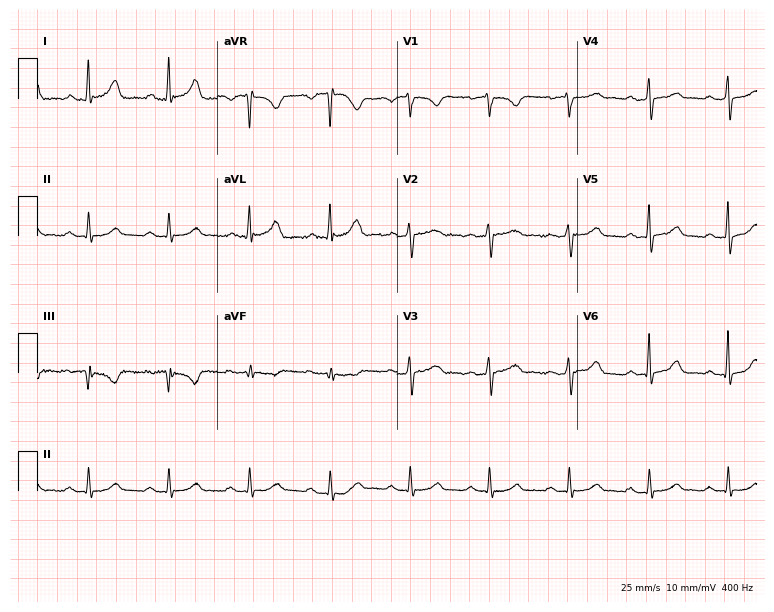
12-lead ECG (7.3-second recording at 400 Hz) from a woman, 57 years old. Screened for six findings — first-degree AV block, right bundle branch block, left bundle branch block, sinus bradycardia, atrial fibrillation, sinus tachycardia — none is recorded.